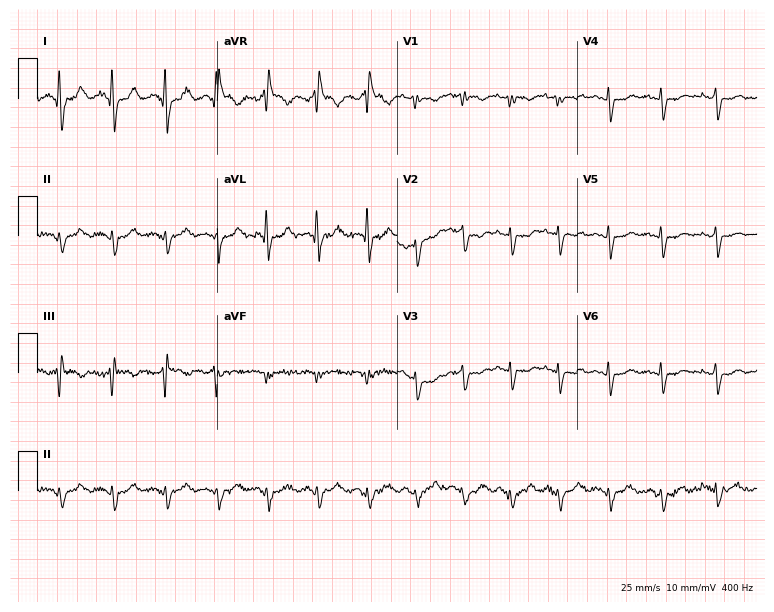
Electrocardiogram (7.3-second recording at 400 Hz), a 30-year-old female. Interpretation includes sinus tachycardia (a sinus rate of 100 beats per minute or more).